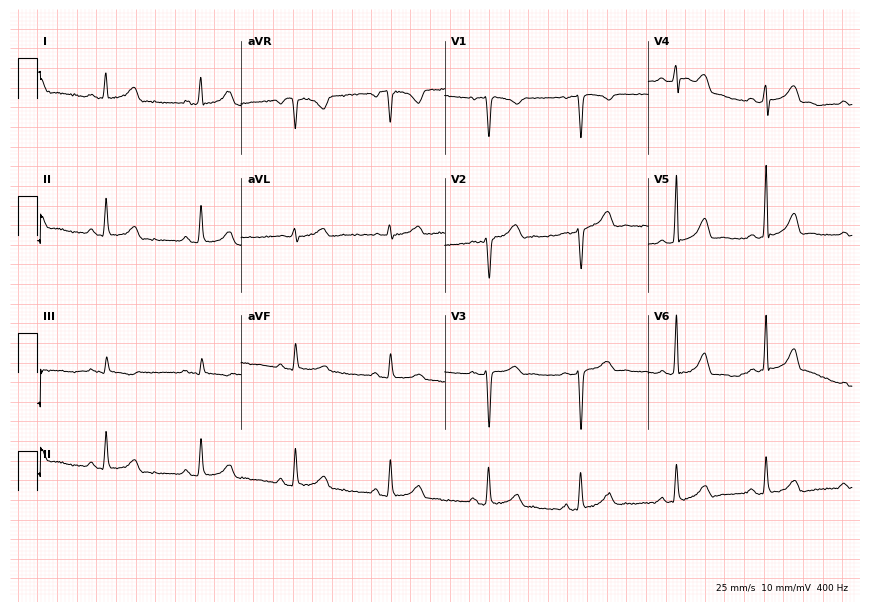
ECG (8.3-second recording at 400 Hz) — a 45-year-old female patient. Screened for six findings — first-degree AV block, right bundle branch block (RBBB), left bundle branch block (LBBB), sinus bradycardia, atrial fibrillation (AF), sinus tachycardia — none is recorded.